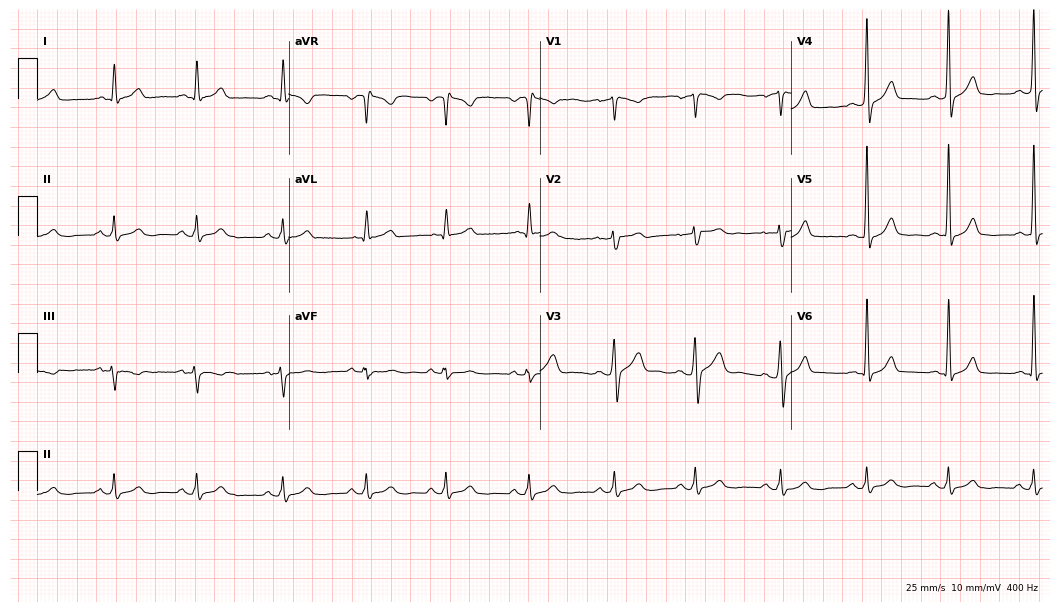
Electrocardiogram, a 58-year-old man. Of the six screened findings (first-degree AV block, right bundle branch block (RBBB), left bundle branch block (LBBB), sinus bradycardia, atrial fibrillation (AF), sinus tachycardia), none is recorded.